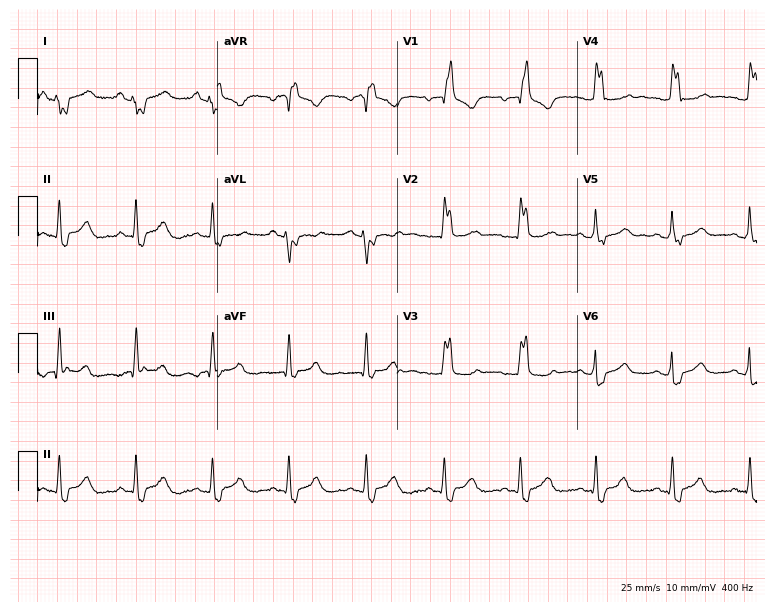
Standard 12-lead ECG recorded from a woman, 65 years old (7.3-second recording at 400 Hz). The tracing shows right bundle branch block.